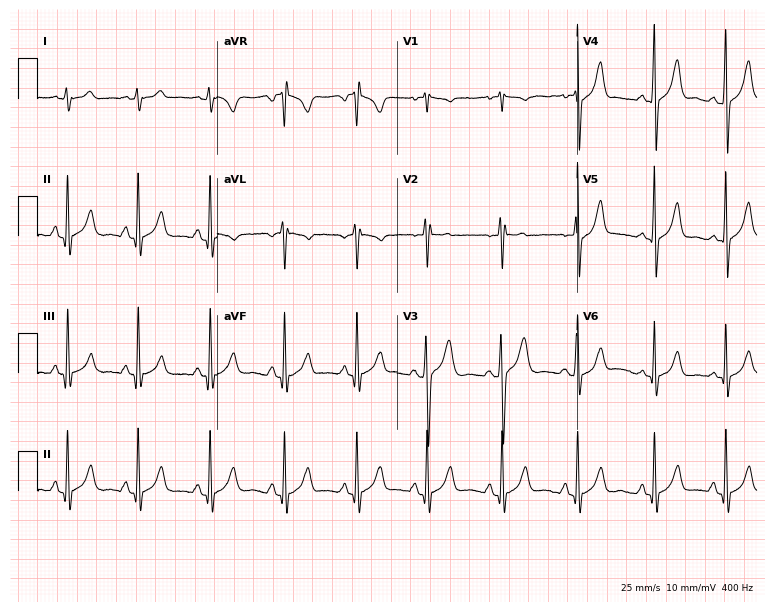
Standard 12-lead ECG recorded from a man, 19 years old. None of these six findings is recorded: first-degree AV block, right bundle branch block (RBBB), left bundle branch block (LBBB), sinus bradycardia, atrial fibrillation (AF), sinus tachycardia.